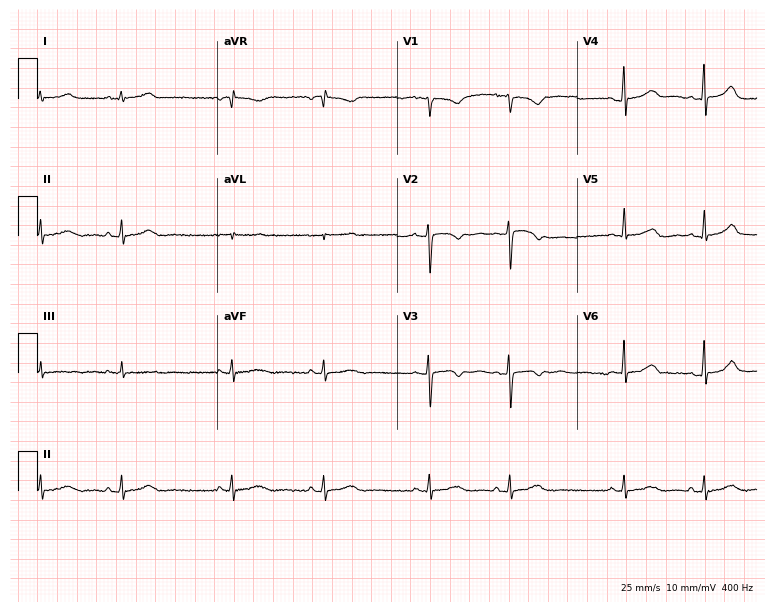
Resting 12-lead electrocardiogram (7.3-second recording at 400 Hz). Patient: a 23-year-old woman. Read as a normal ECG.